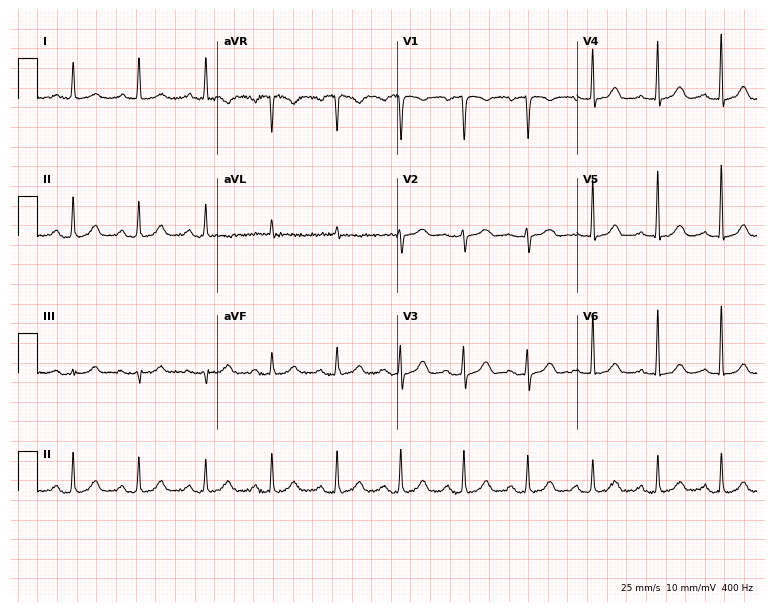
Resting 12-lead electrocardiogram. Patient: an 80-year-old woman. None of these six findings is recorded: first-degree AV block, right bundle branch block (RBBB), left bundle branch block (LBBB), sinus bradycardia, atrial fibrillation (AF), sinus tachycardia.